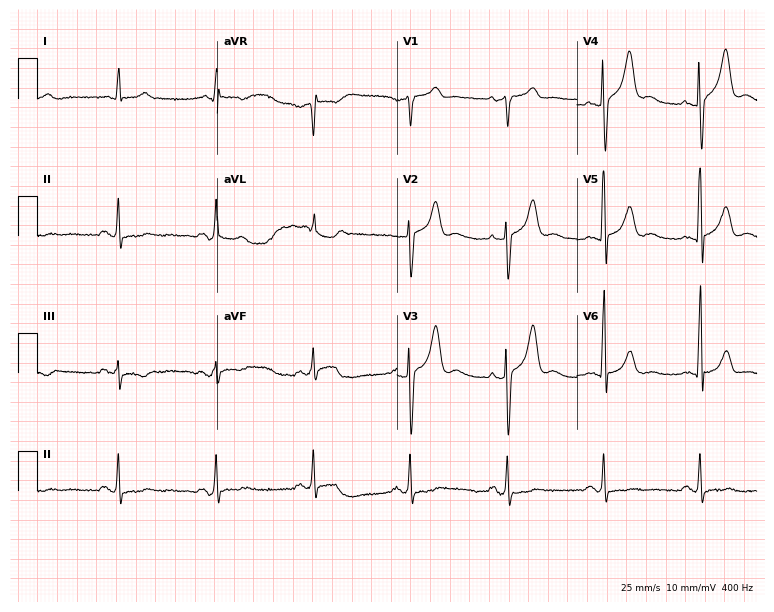
Standard 12-lead ECG recorded from an 80-year-old male. None of these six findings is recorded: first-degree AV block, right bundle branch block (RBBB), left bundle branch block (LBBB), sinus bradycardia, atrial fibrillation (AF), sinus tachycardia. Findings outside these six are not listed.